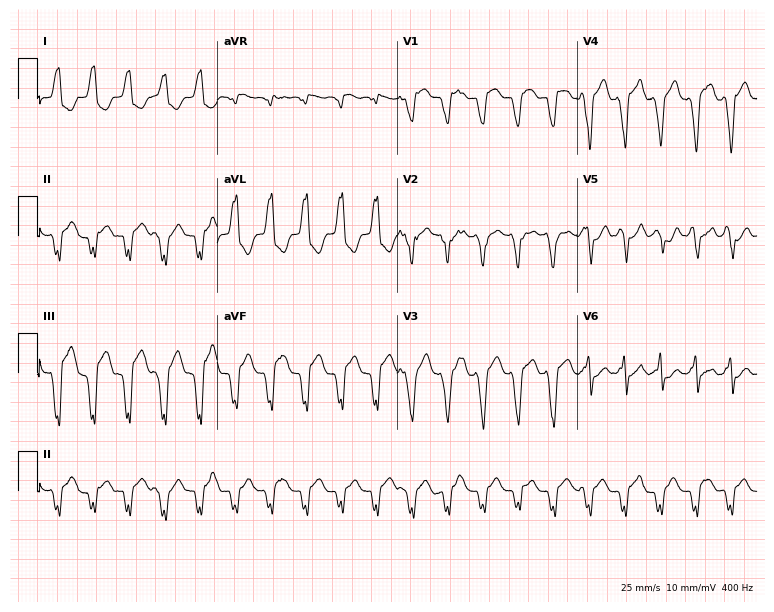
12-lead ECG from a man, 81 years old (7.3-second recording at 400 Hz). No first-degree AV block, right bundle branch block (RBBB), left bundle branch block (LBBB), sinus bradycardia, atrial fibrillation (AF) or sinus tachycardia recorded for this tracing. Findings outside these six are not listed.